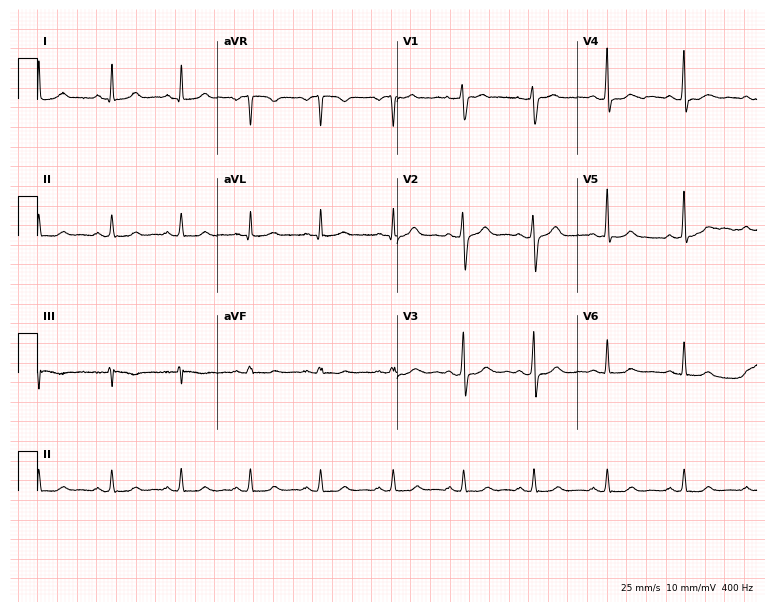
Standard 12-lead ECG recorded from a woman, 29 years old. None of these six findings is recorded: first-degree AV block, right bundle branch block (RBBB), left bundle branch block (LBBB), sinus bradycardia, atrial fibrillation (AF), sinus tachycardia.